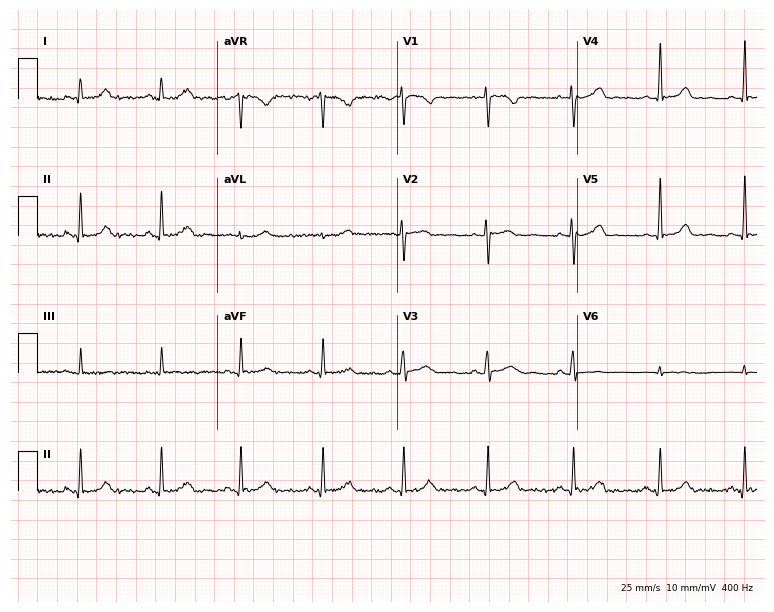
12-lead ECG from a 40-year-old female patient. Recorded interpretation: within normal limits.